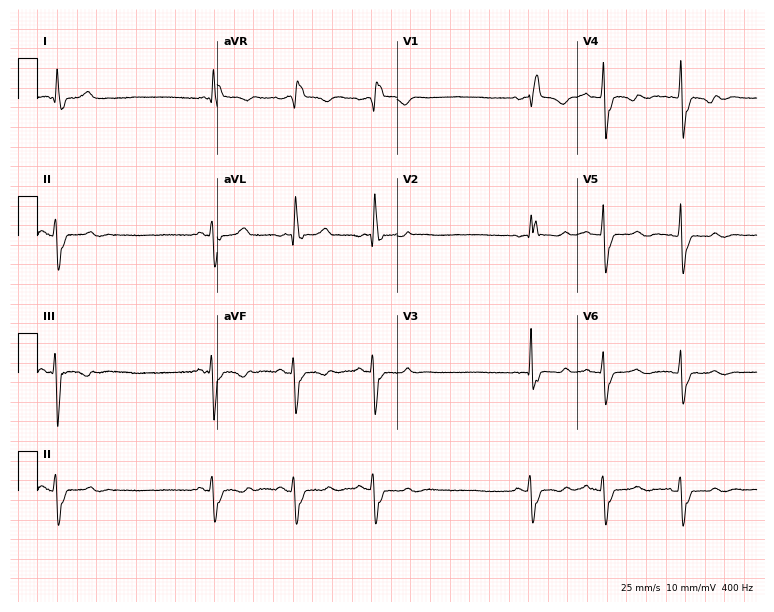
Resting 12-lead electrocardiogram. Patient: a woman, 63 years old. The tracing shows right bundle branch block.